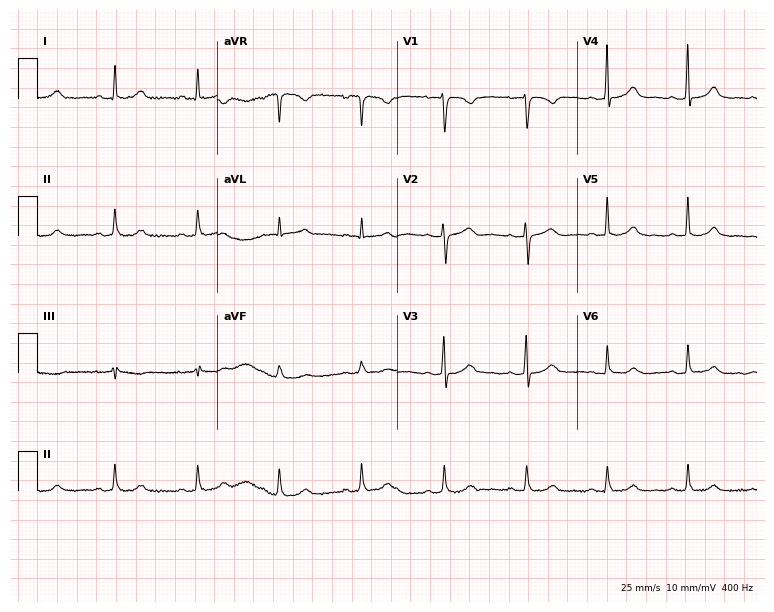
Standard 12-lead ECG recorded from a 52-year-old female (7.3-second recording at 400 Hz). Read as a normal ECG.